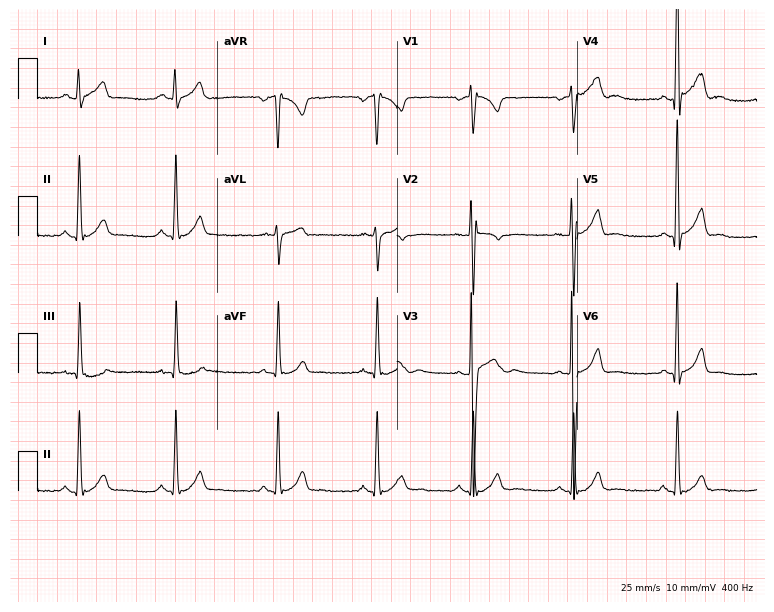
ECG — a male patient, 17 years old. Screened for six findings — first-degree AV block, right bundle branch block, left bundle branch block, sinus bradycardia, atrial fibrillation, sinus tachycardia — none is recorded.